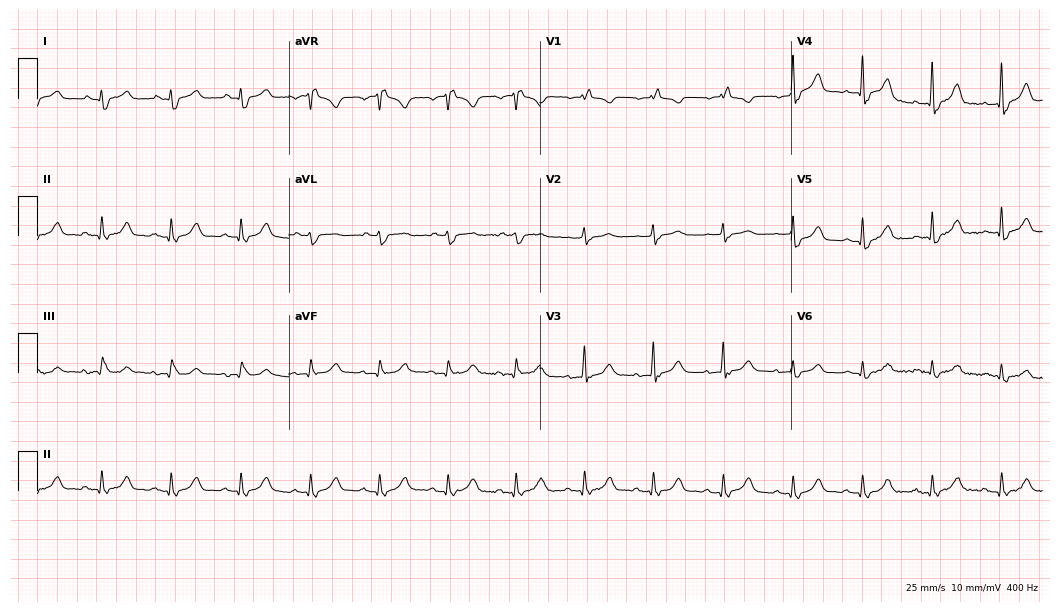
Standard 12-lead ECG recorded from a male, 70 years old (10.2-second recording at 400 Hz). None of these six findings is recorded: first-degree AV block, right bundle branch block, left bundle branch block, sinus bradycardia, atrial fibrillation, sinus tachycardia. Findings outside these six are not listed.